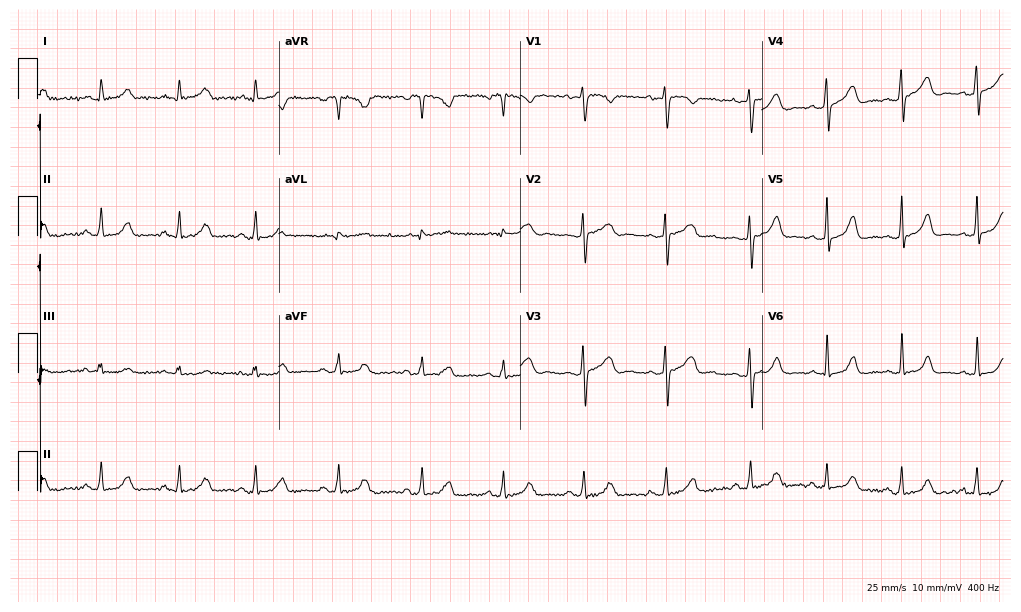
Resting 12-lead electrocardiogram (9.8-second recording at 400 Hz). Patient: a female, 27 years old. Read as a normal ECG.